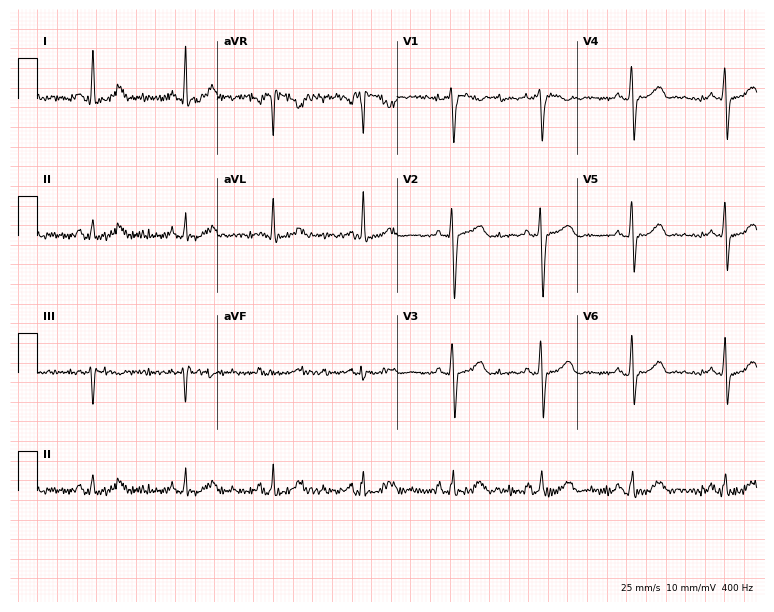
Resting 12-lead electrocardiogram (7.3-second recording at 400 Hz). Patient: a female, 39 years old. Read as a normal ECG.